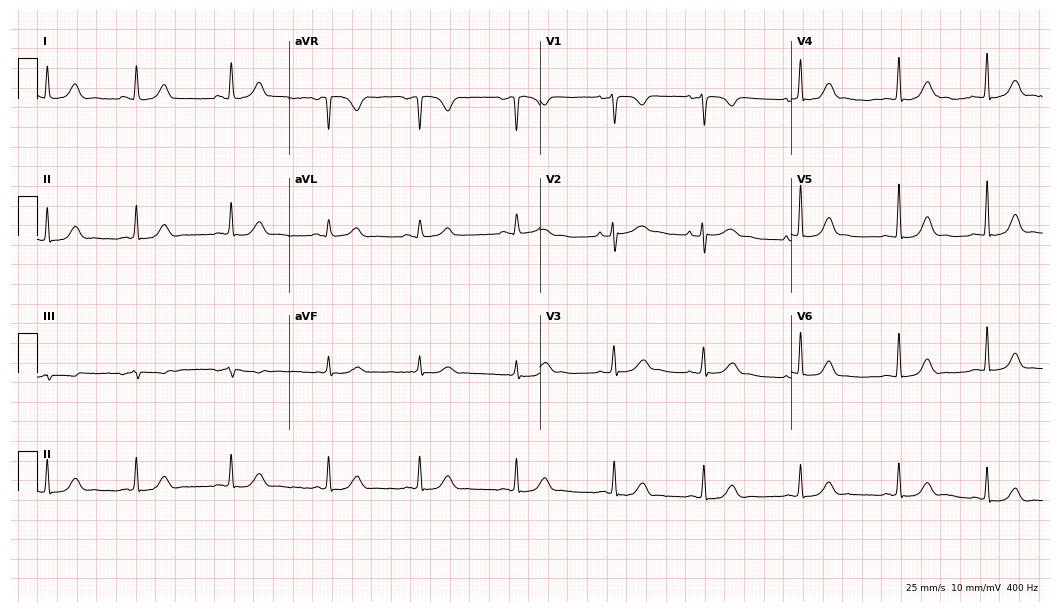
Resting 12-lead electrocardiogram (10.2-second recording at 400 Hz). Patient: a female, 24 years old. Read as a normal ECG.